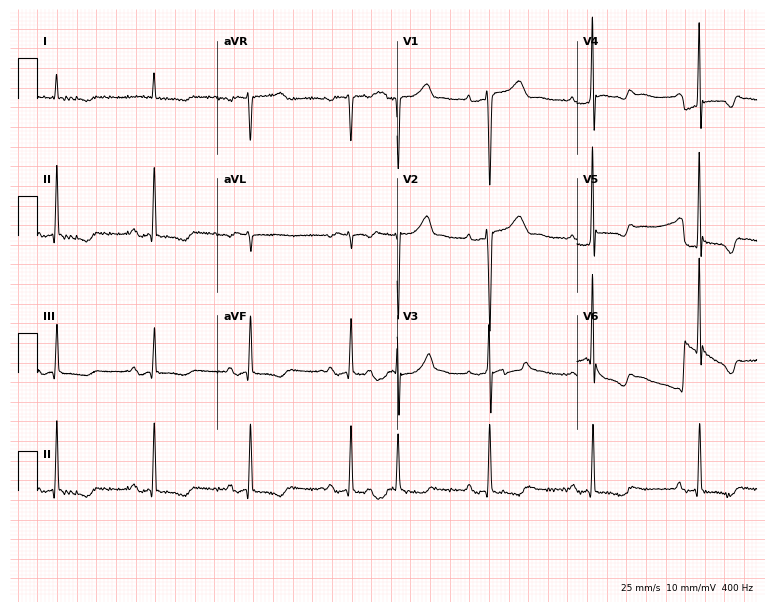
Electrocardiogram, a woman, 67 years old. Of the six screened findings (first-degree AV block, right bundle branch block, left bundle branch block, sinus bradycardia, atrial fibrillation, sinus tachycardia), none is recorded. Only these six findings were labelled.